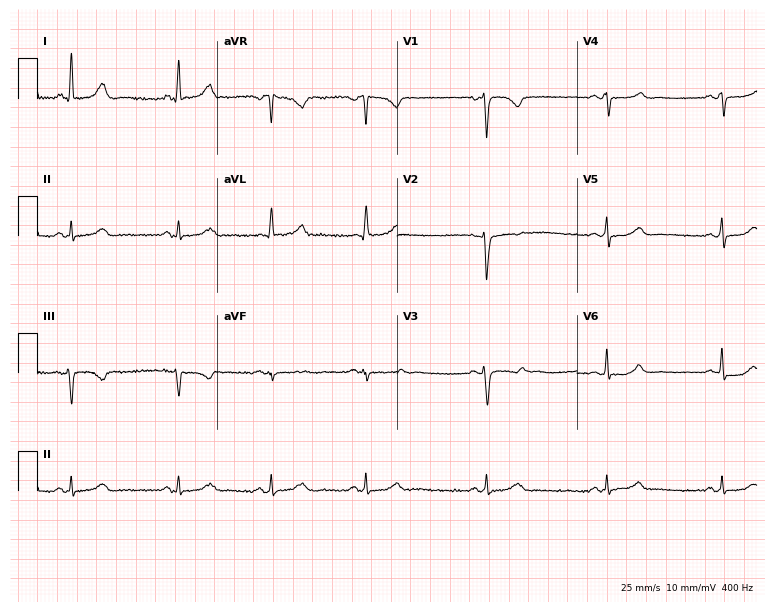
Electrocardiogram, a 40-year-old female patient. Of the six screened findings (first-degree AV block, right bundle branch block, left bundle branch block, sinus bradycardia, atrial fibrillation, sinus tachycardia), none is recorded.